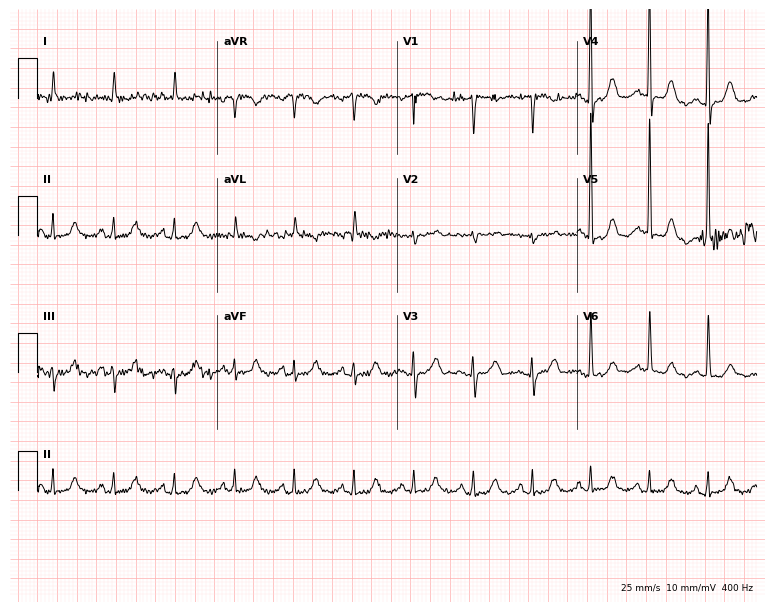
Resting 12-lead electrocardiogram (7.3-second recording at 400 Hz). Patient: a woman, 80 years old. None of these six findings is recorded: first-degree AV block, right bundle branch block, left bundle branch block, sinus bradycardia, atrial fibrillation, sinus tachycardia. Findings outside these six are not listed.